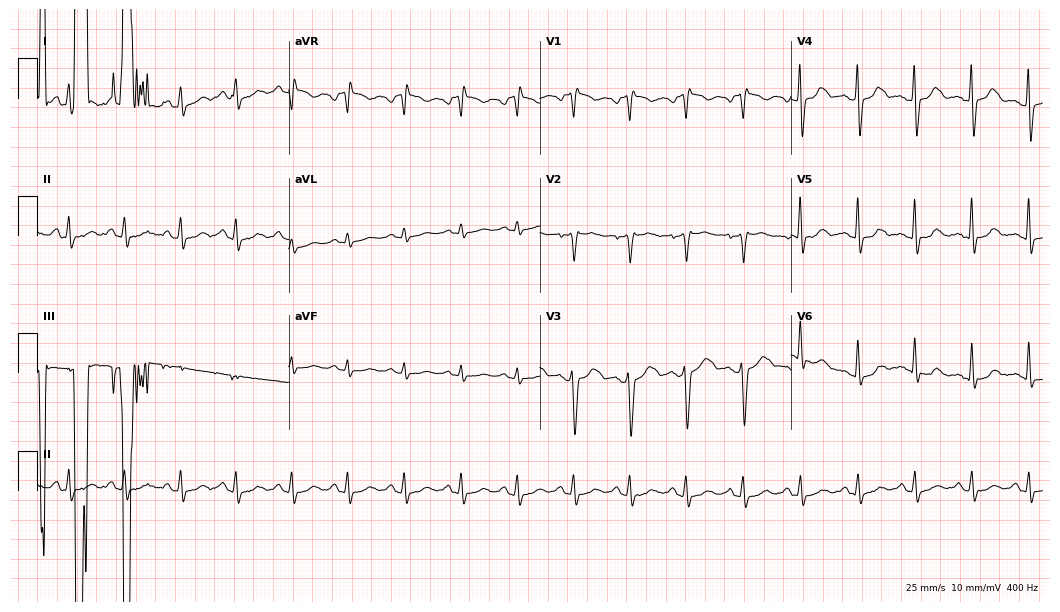
12-lead ECG from a 75-year-old female (10.2-second recording at 400 Hz). Shows atrial fibrillation, sinus tachycardia (a sinus rate of 100 beats per minute or more).